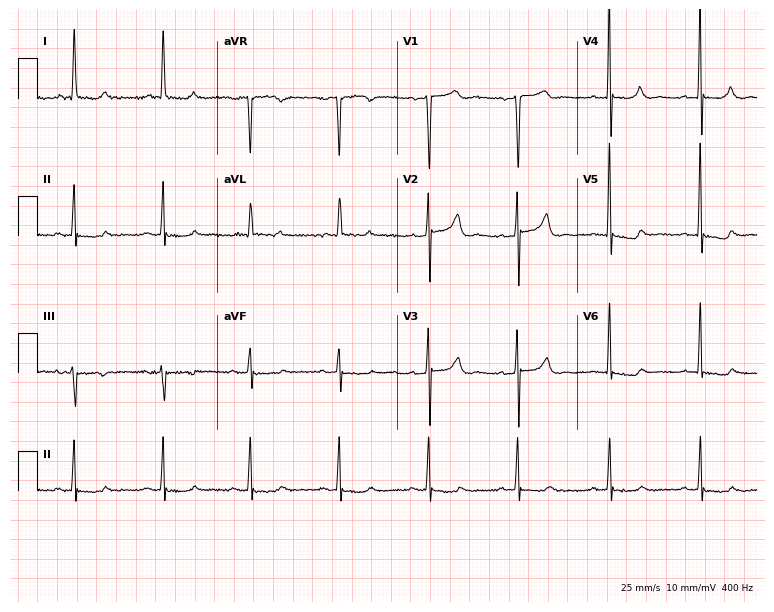
Standard 12-lead ECG recorded from an 83-year-old female. None of these six findings is recorded: first-degree AV block, right bundle branch block, left bundle branch block, sinus bradycardia, atrial fibrillation, sinus tachycardia.